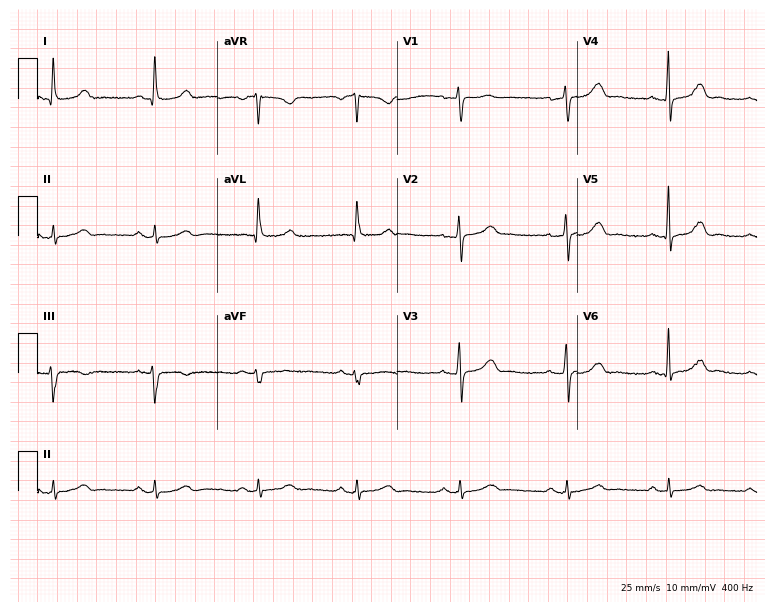
ECG (7.3-second recording at 400 Hz) — a 63-year-old woman. Labelled as a normal ECG.